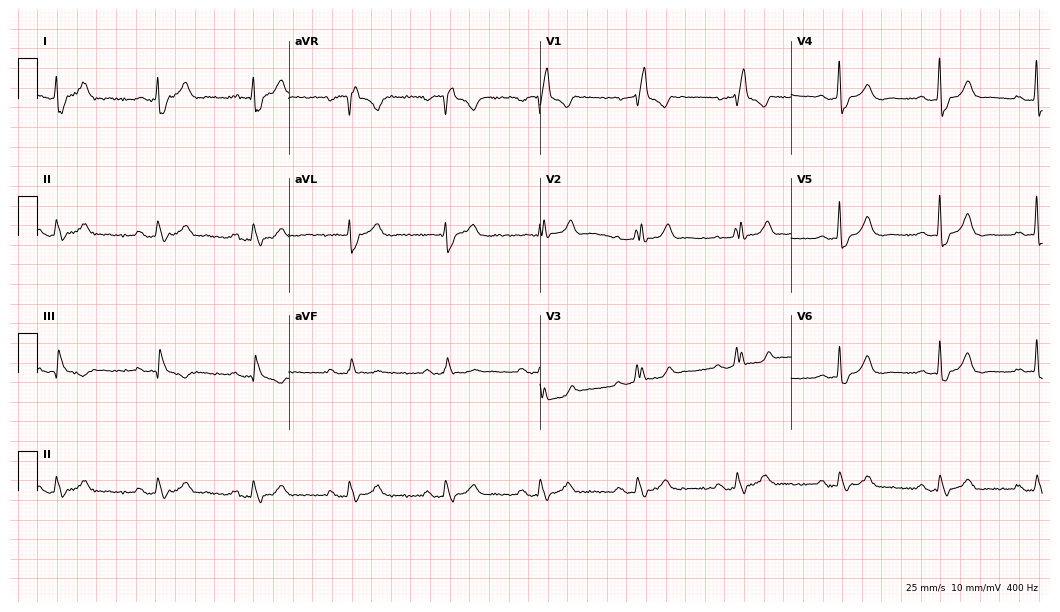
Resting 12-lead electrocardiogram (10.2-second recording at 400 Hz). Patient: a 67-year-old male. The tracing shows right bundle branch block.